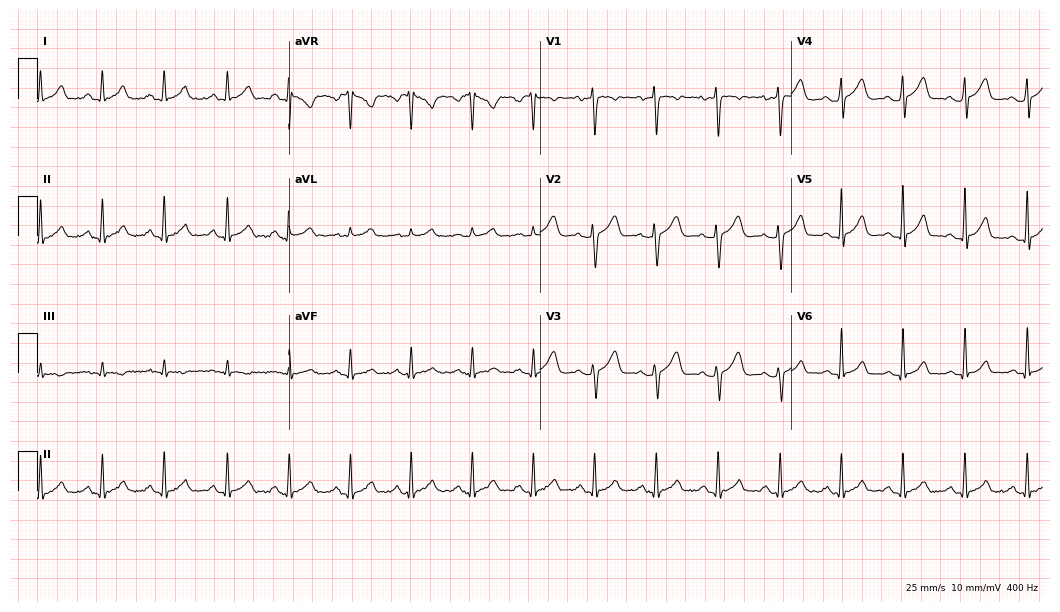
12-lead ECG from a woman, 33 years old (10.2-second recording at 400 Hz). Recorded interpretation: within normal limits.